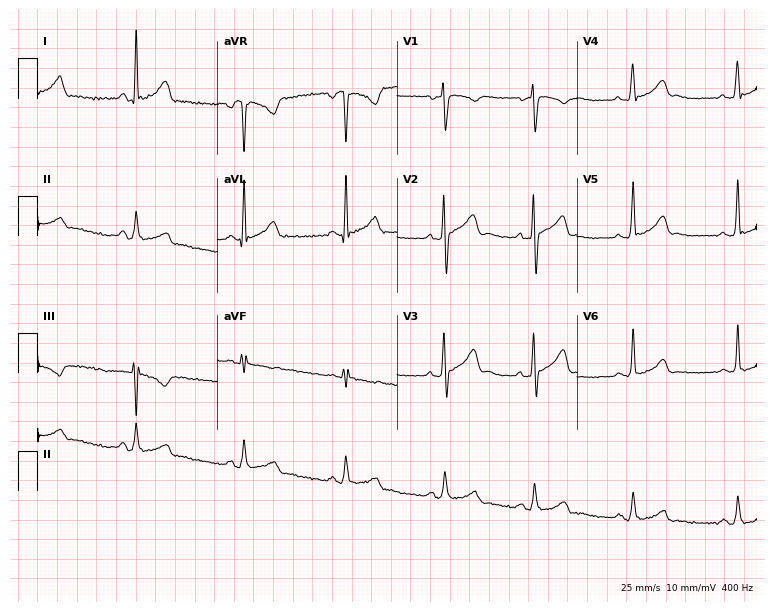
Resting 12-lead electrocardiogram. Patient: a 41-year-old male. None of these six findings is recorded: first-degree AV block, right bundle branch block, left bundle branch block, sinus bradycardia, atrial fibrillation, sinus tachycardia.